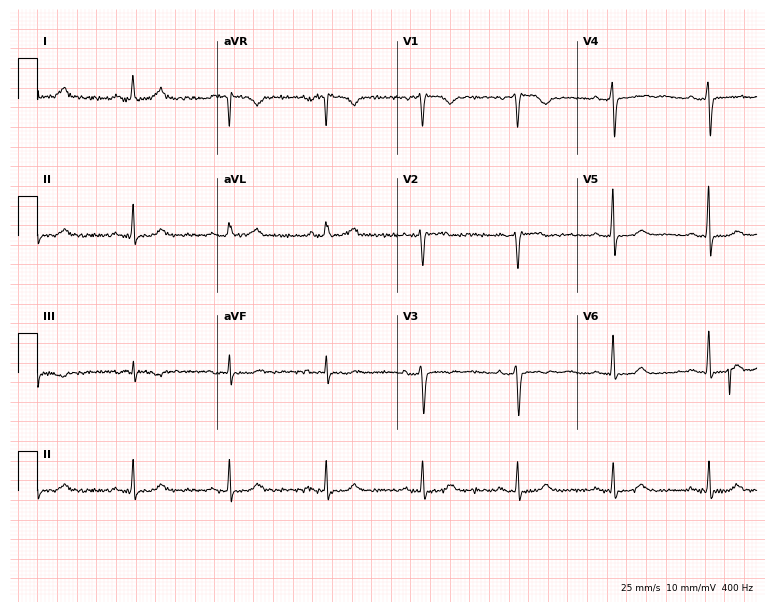
Electrocardiogram (7.3-second recording at 400 Hz), a female, 47 years old. Of the six screened findings (first-degree AV block, right bundle branch block, left bundle branch block, sinus bradycardia, atrial fibrillation, sinus tachycardia), none is recorded. Other findings, if any, are not listed.